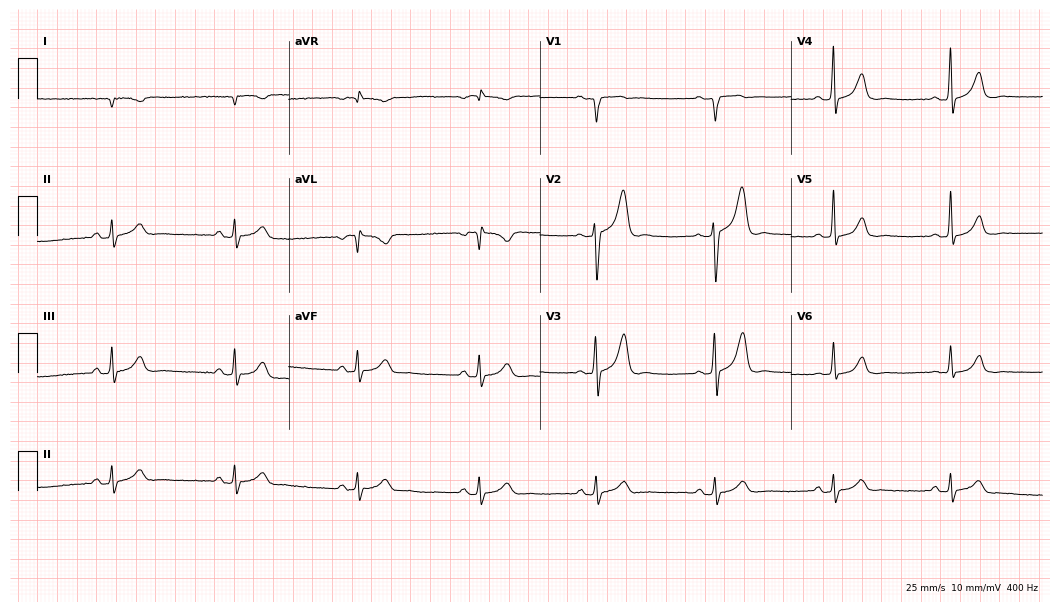
ECG (10.2-second recording at 400 Hz) — a male patient, 63 years old. Labelled as a normal ECG.